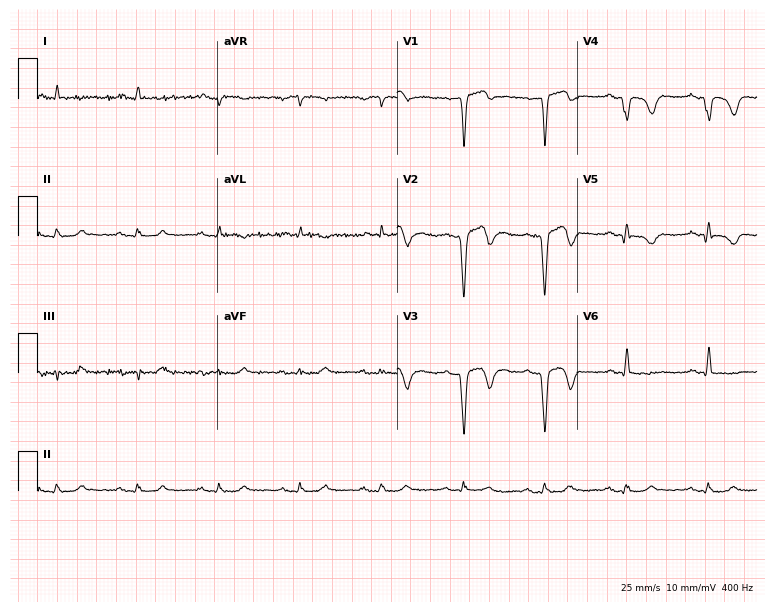
ECG — a male patient, 64 years old. Labelled as a normal ECG.